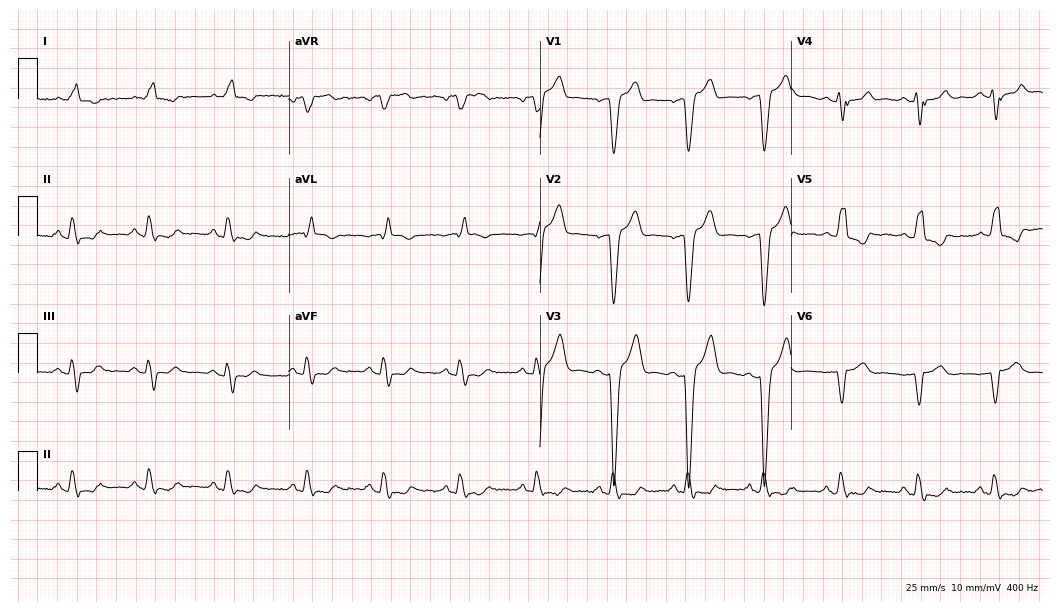
Electrocardiogram, a male patient, 68 years old. Interpretation includes left bundle branch block (LBBB).